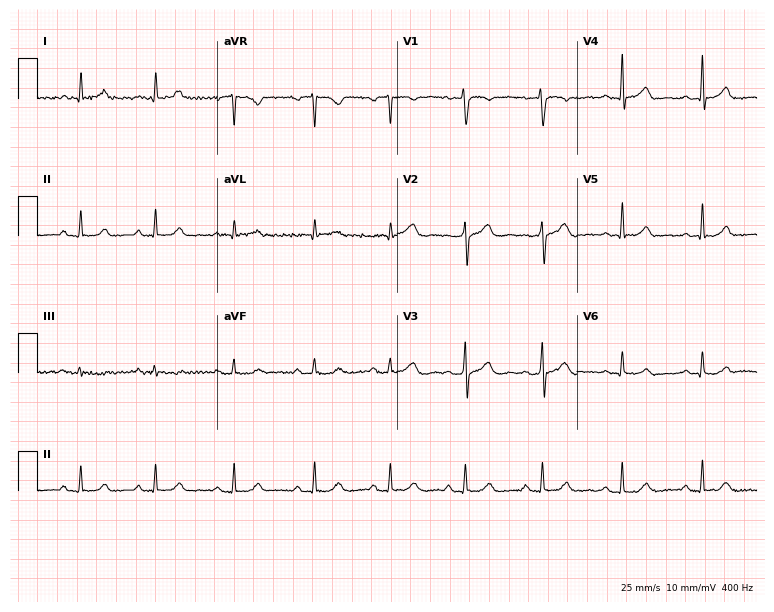
Standard 12-lead ECG recorded from a 37-year-old female (7.3-second recording at 400 Hz). Read as a normal ECG.